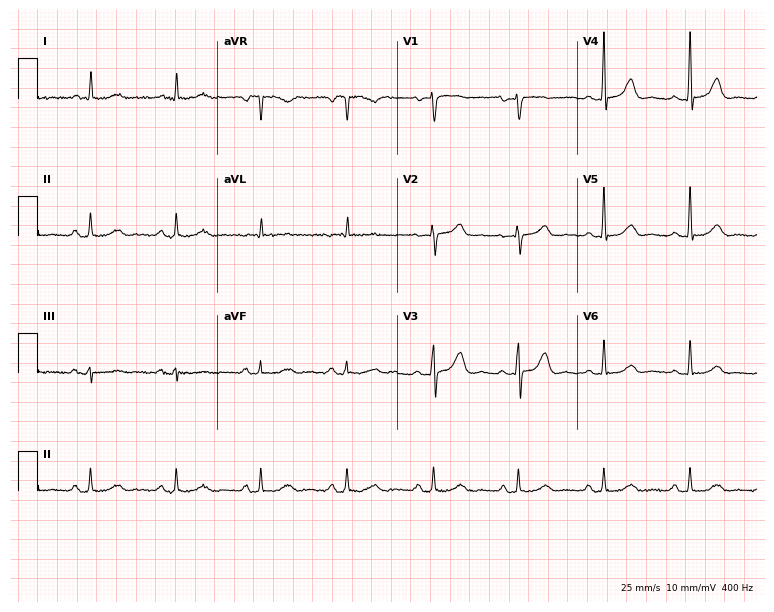
Resting 12-lead electrocardiogram (7.3-second recording at 400 Hz). Patient: a 63-year-old female. Read as a normal ECG.